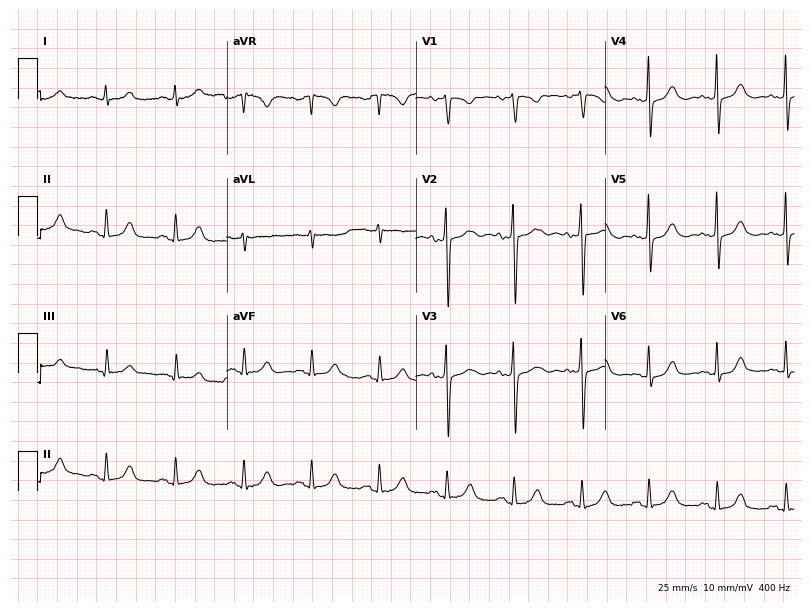
12-lead ECG from a 38-year-old female (7.7-second recording at 400 Hz). Recorded interpretation: within normal limits.